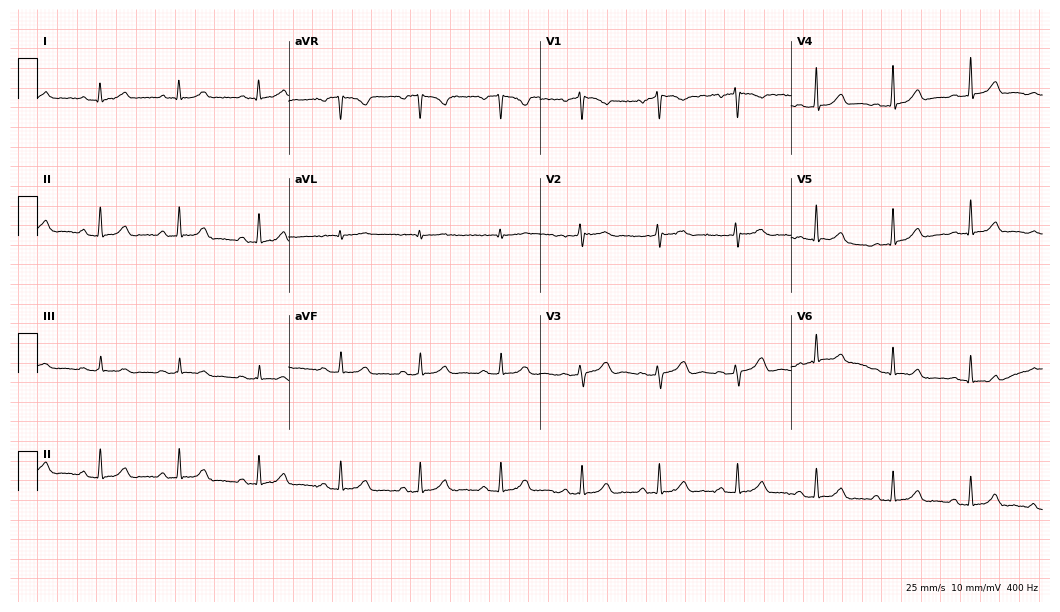
Resting 12-lead electrocardiogram. Patient: a female, 53 years old. Read as a normal ECG.